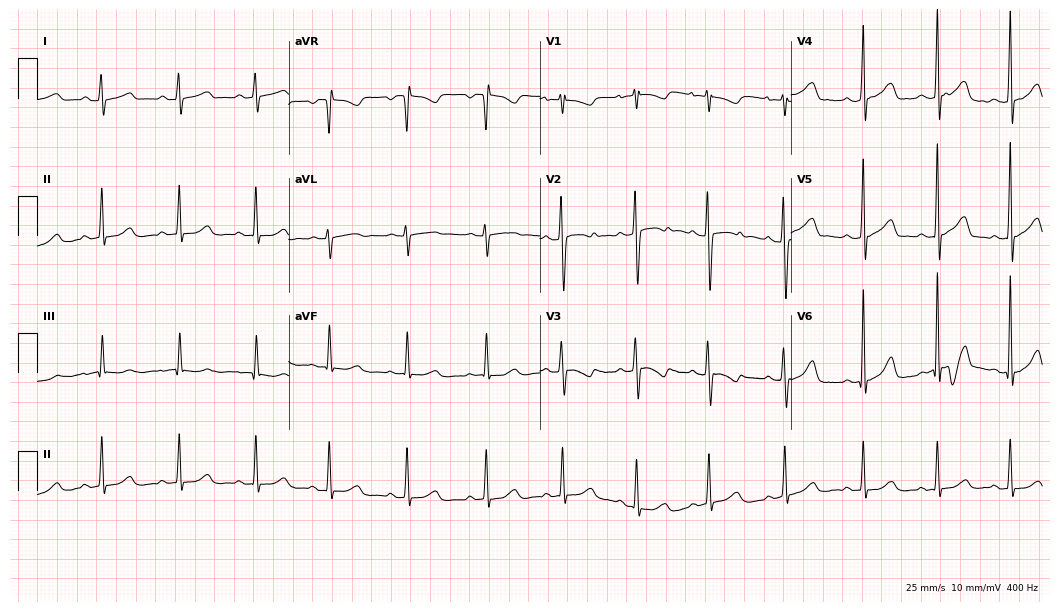
12-lead ECG from a 20-year-old female (10.2-second recording at 400 Hz). Recorded interpretation: within normal limits.